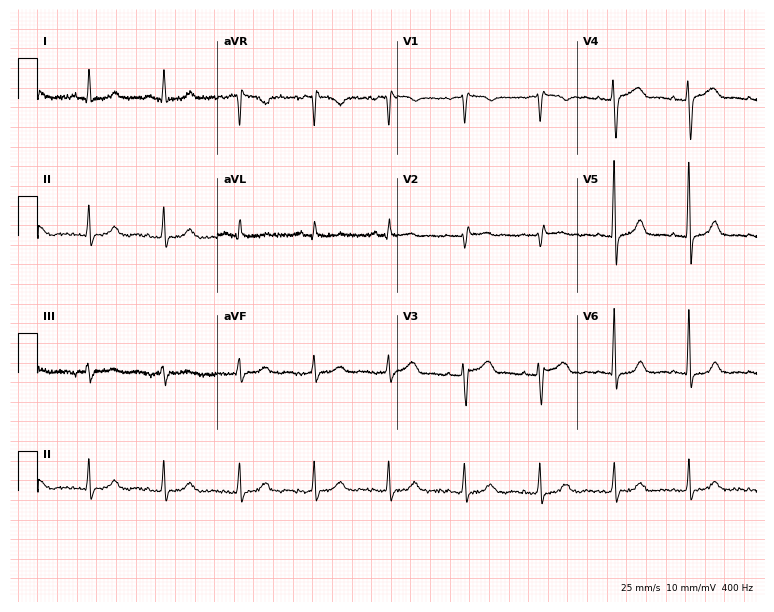
Electrocardiogram, a 57-year-old female. Overall reading on record: normal ECG.